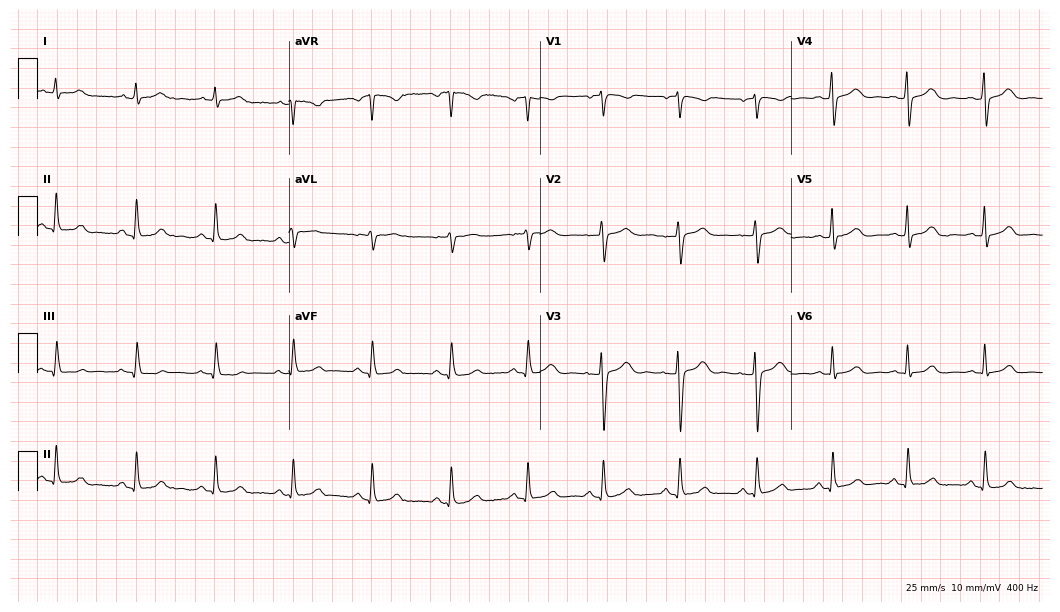
ECG (10.2-second recording at 400 Hz) — a 44-year-old female. Labelled as a normal ECG.